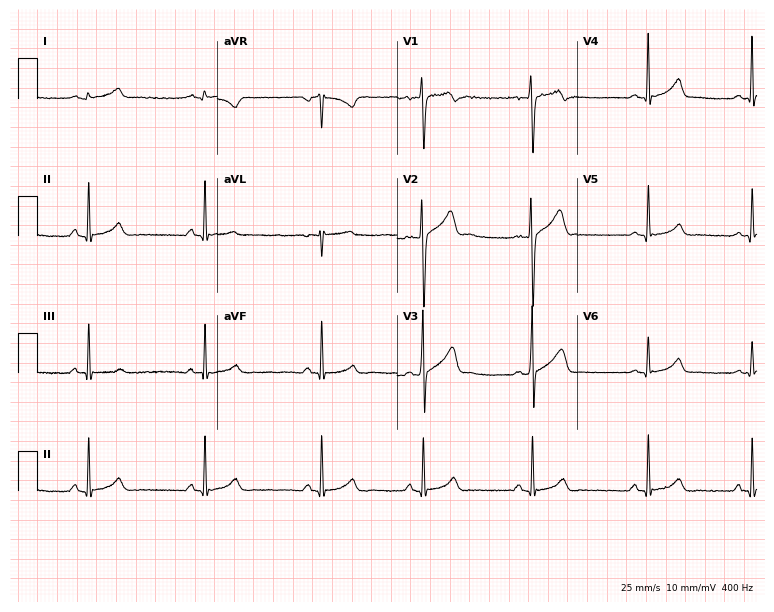
12-lead ECG (7.3-second recording at 400 Hz) from a 20-year-old male patient. Labelled as a normal ECG.